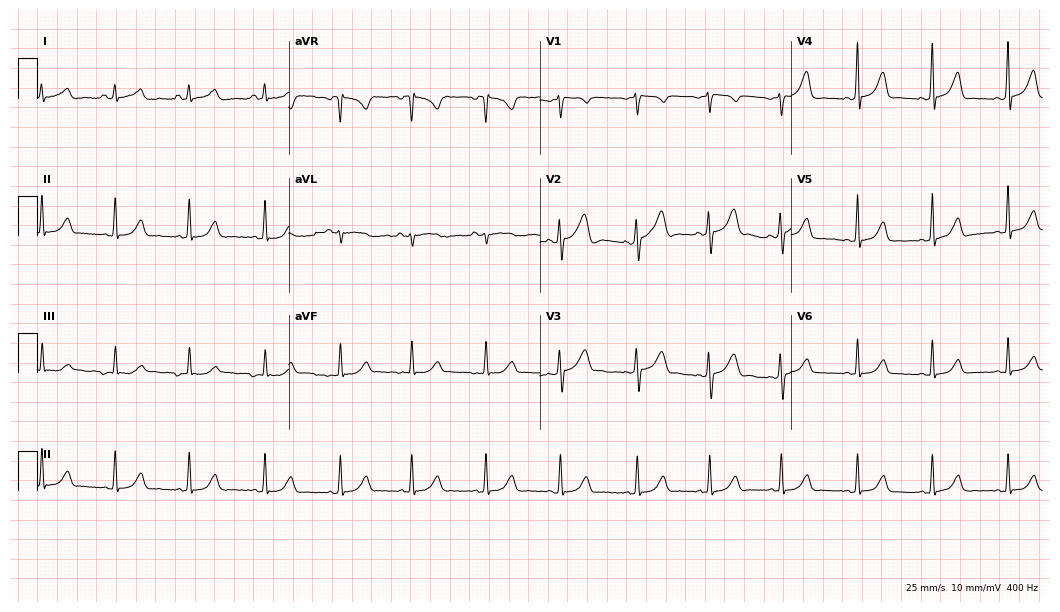
Standard 12-lead ECG recorded from a woman, 36 years old (10.2-second recording at 400 Hz). Read as a normal ECG.